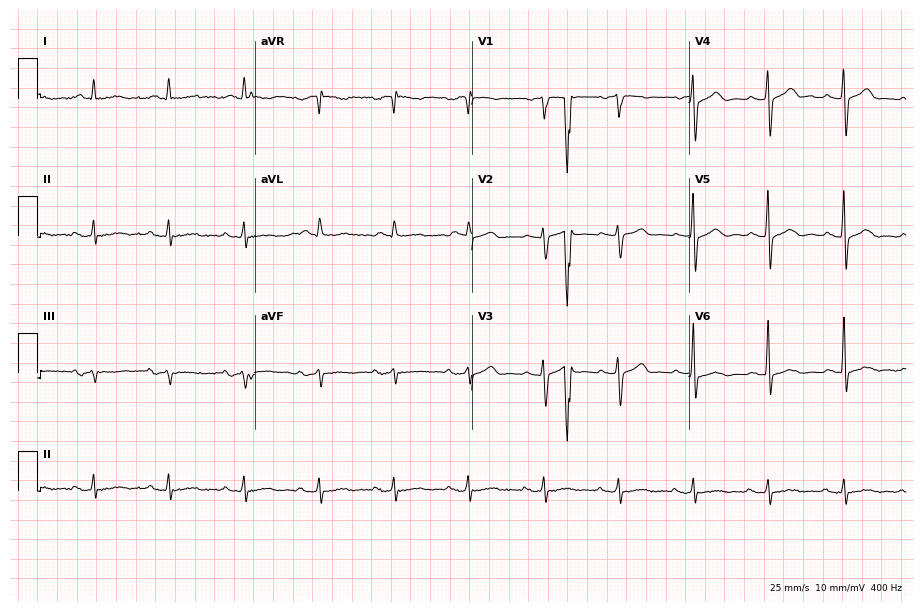
Electrocardiogram (8.9-second recording at 400 Hz), an 84-year-old male. Of the six screened findings (first-degree AV block, right bundle branch block, left bundle branch block, sinus bradycardia, atrial fibrillation, sinus tachycardia), none is recorded. Other findings, if any, are not listed.